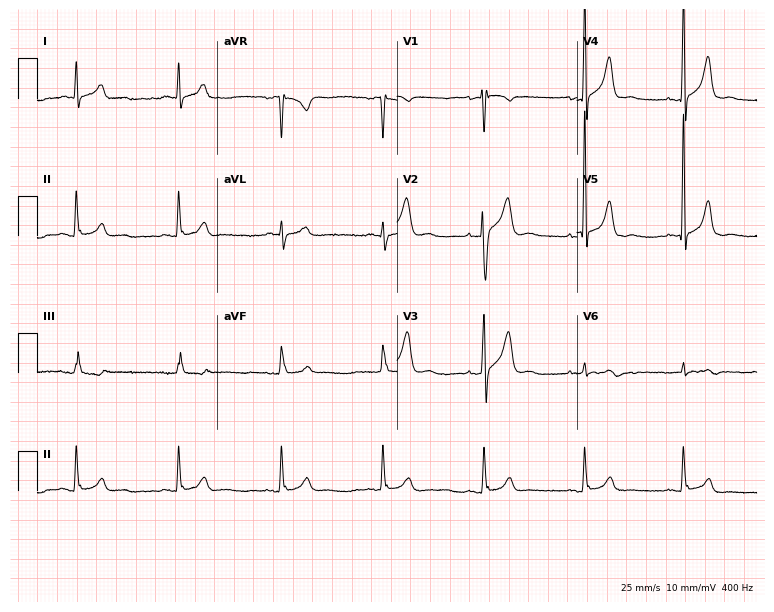
Electrocardiogram (7.3-second recording at 400 Hz), a man, 51 years old. Of the six screened findings (first-degree AV block, right bundle branch block (RBBB), left bundle branch block (LBBB), sinus bradycardia, atrial fibrillation (AF), sinus tachycardia), none is recorded.